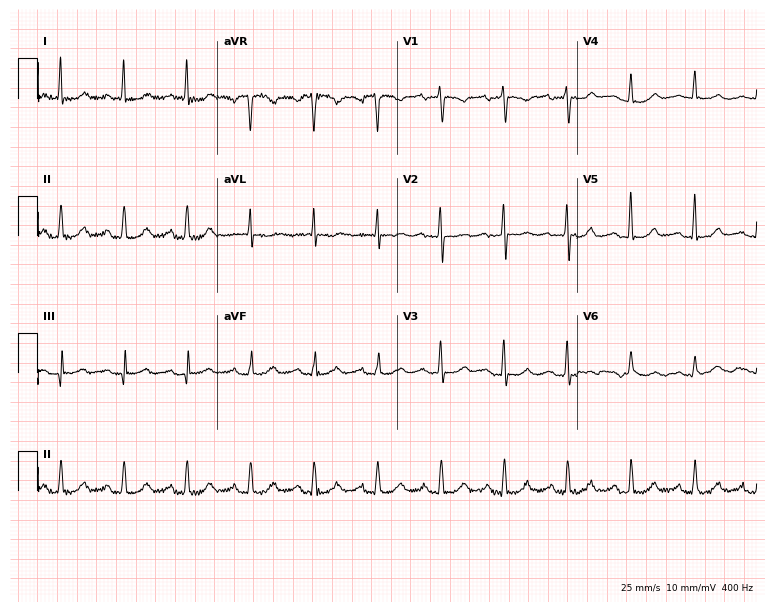
Resting 12-lead electrocardiogram (7.3-second recording at 400 Hz). Patient: a female, 64 years old. None of these six findings is recorded: first-degree AV block, right bundle branch block (RBBB), left bundle branch block (LBBB), sinus bradycardia, atrial fibrillation (AF), sinus tachycardia. Other findings, if any, are not listed.